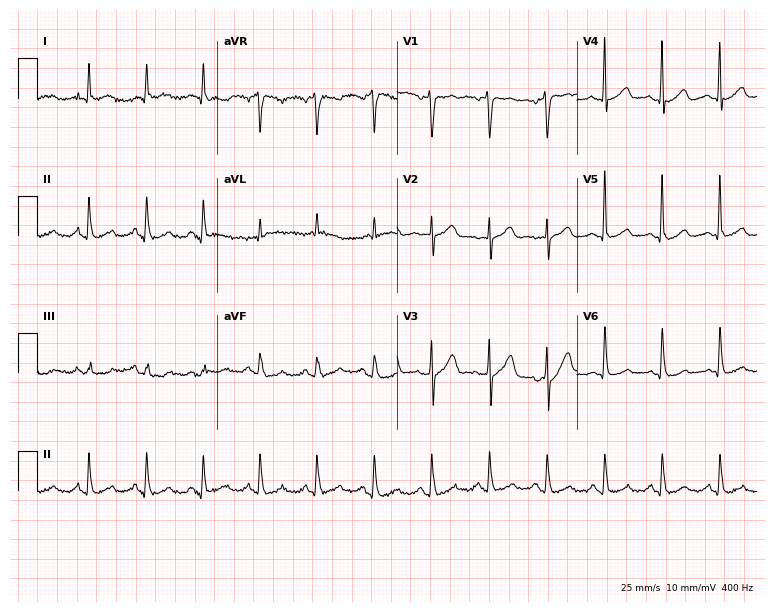
ECG (7.3-second recording at 400 Hz) — a 47-year-old man. Screened for six findings — first-degree AV block, right bundle branch block, left bundle branch block, sinus bradycardia, atrial fibrillation, sinus tachycardia — none is recorded. Only these six findings were labelled.